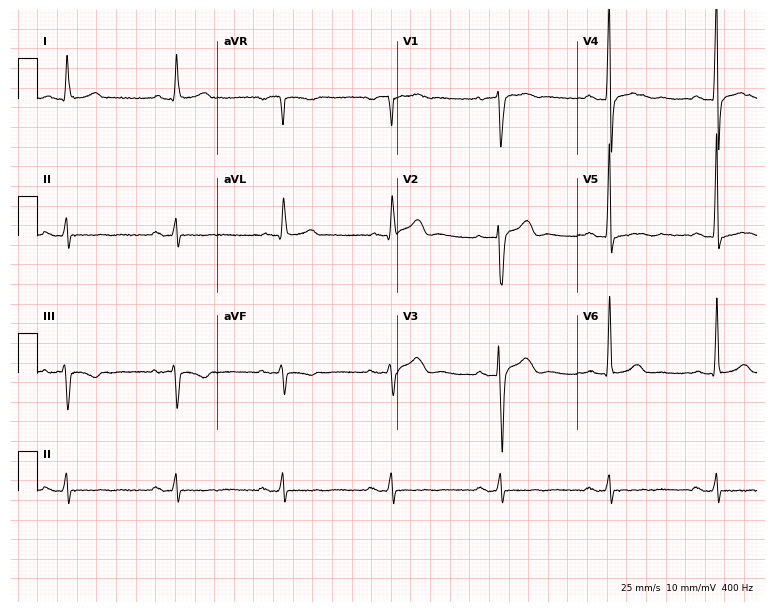
Electrocardiogram (7.3-second recording at 400 Hz), a man, 60 years old. Of the six screened findings (first-degree AV block, right bundle branch block, left bundle branch block, sinus bradycardia, atrial fibrillation, sinus tachycardia), none is recorded. Only these six findings were labelled.